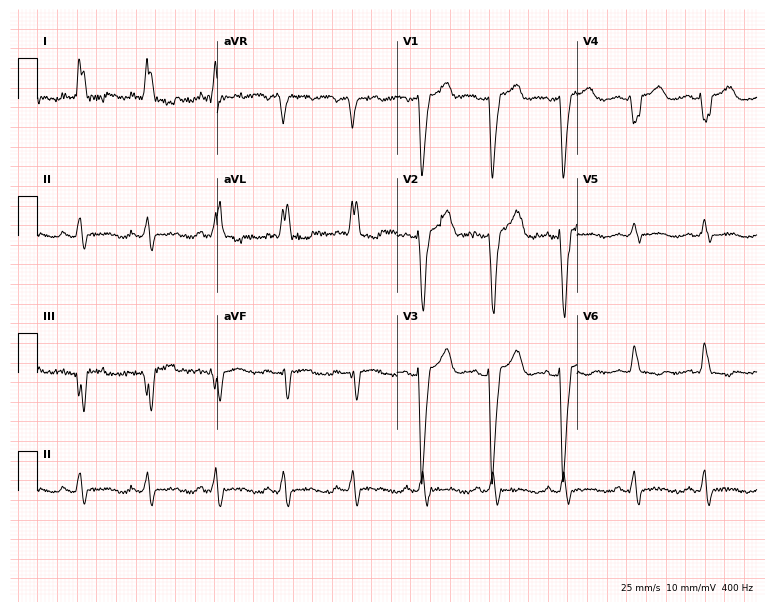
12-lead ECG from a 68-year-old female. Shows left bundle branch block (LBBB).